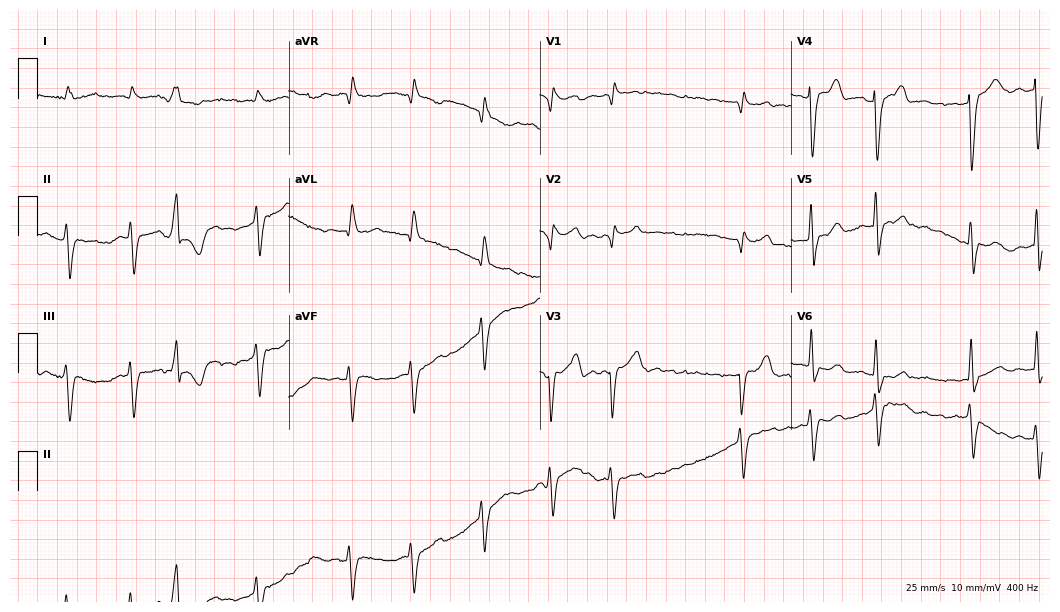
Resting 12-lead electrocardiogram. Patient: a male, 83 years old. None of these six findings is recorded: first-degree AV block, right bundle branch block, left bundle branch block, sinus bradycardia, atrial fibrillation, sinus tachycardia. Findings outside these six are not listed.